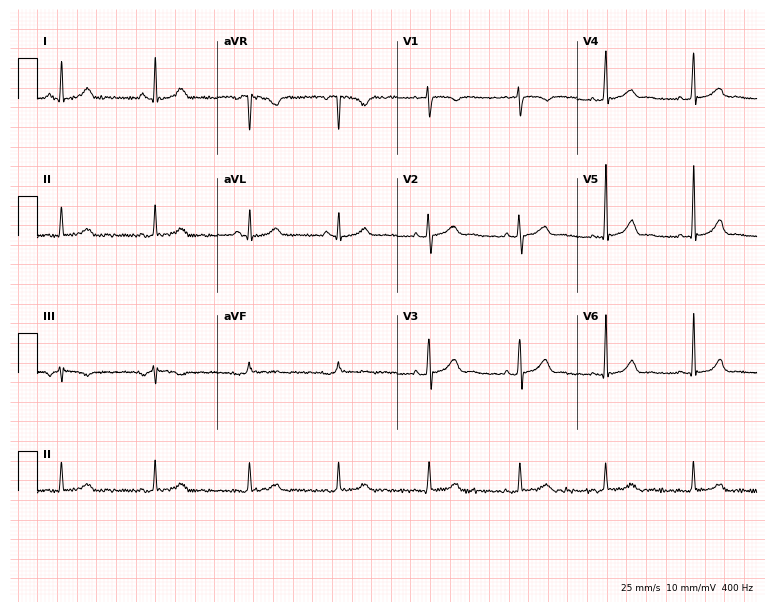
Electrocardiogram, a 24-year-old female. Overall reading on record: normal ECG.